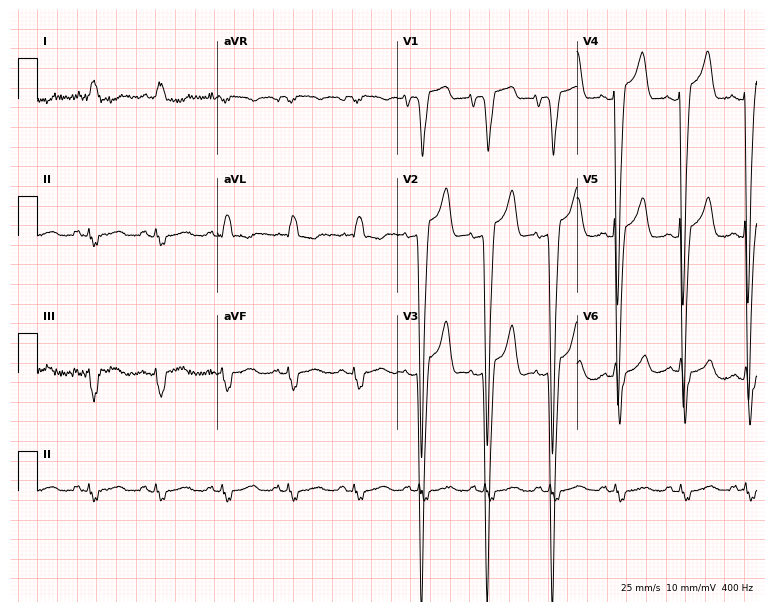
Standard 12-lead ECG recorded from an 80-year-old female. None of these six findings is recorded: first-degree AV block, right bundle branch block (RBBB), left bundle branch block (LBBB), sinus bradycardia, atrial fibrillation (AF), sinus tachycardia.